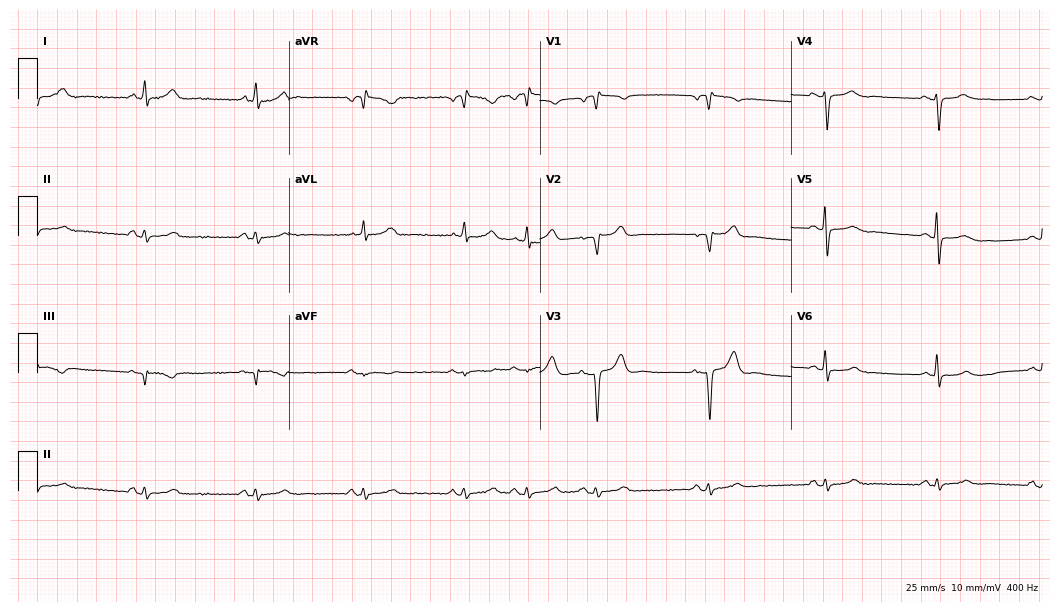
12-lead ECG (10.2-second recording at 400 Hz) from a female patient, 76 years old. Screened for six findings — first-degree AV block, right bundle branch block, left bundle branch block, sinus bradycardia, atrial fibrillation, sinus tachycardia — none is recorded. Other findings, if any, are not listed.